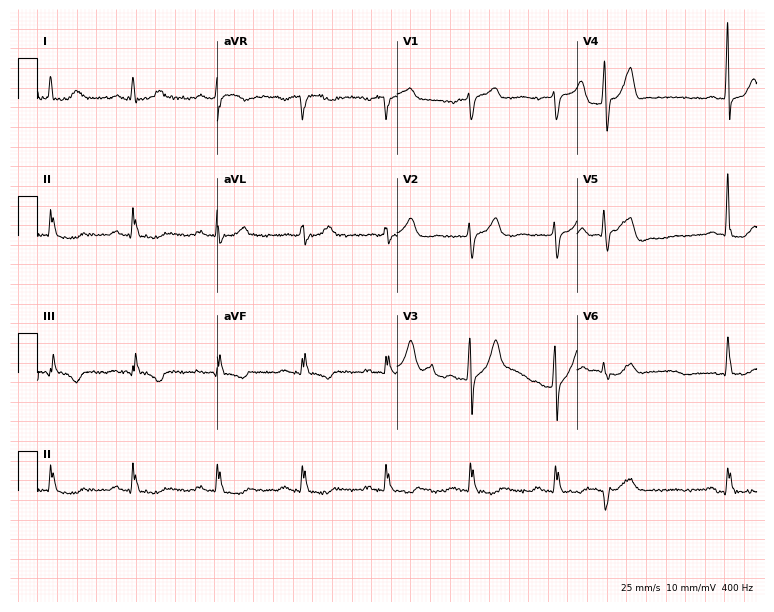
Standard 12-lead ECG recorded from an 82-year-old male (7.3-second recording at 400 Hz). None of these six findings is recorded: first-degree AV block, right bundle branch block, left bundle branch block, sinus bradycardia, atrial fibrillation, sinus tachycardia.